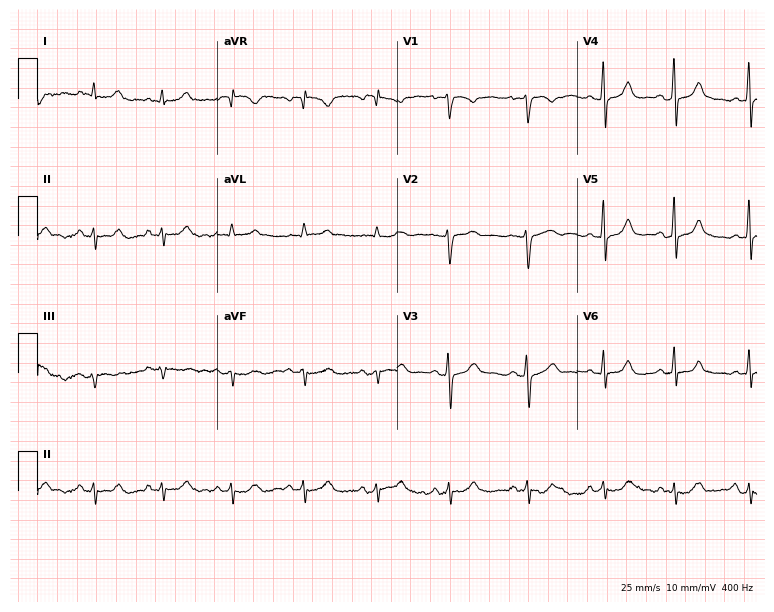
12-lead ECG from a 44-year-old female patient (7.3-second recording at 400 Hz). No first-degree AV block, right bundle branch block (RBBB), left bundle branch block (LBBB), sinus bradycardia, atrial fibrillation (AF) or sinus tachycardia recorded for this tracing.